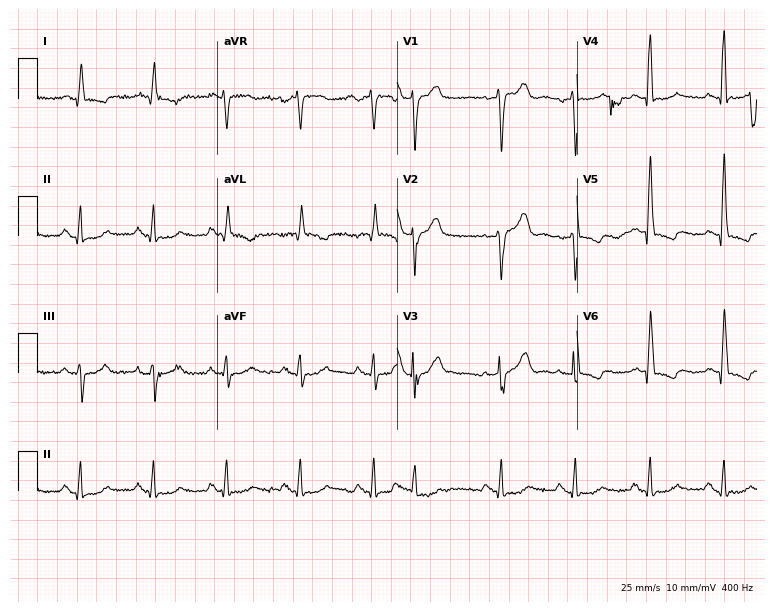
12-lead ECG from an 86-year-old male. No first-degree AV block, right bundle branch block, left bundle branch block, sinus bradycardia, atrial fibrillation or sinus tachycardia recorded for this tracing.